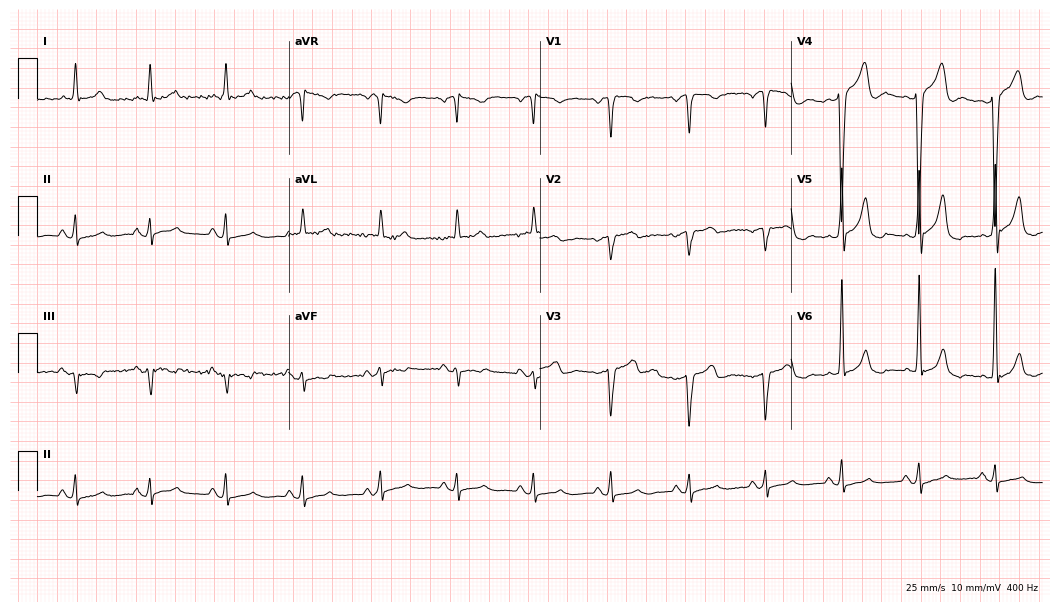
12-lead ECG (10.2-second recording at 400 Hz) from a male, 75 years old. Labelled as a normal ECG.